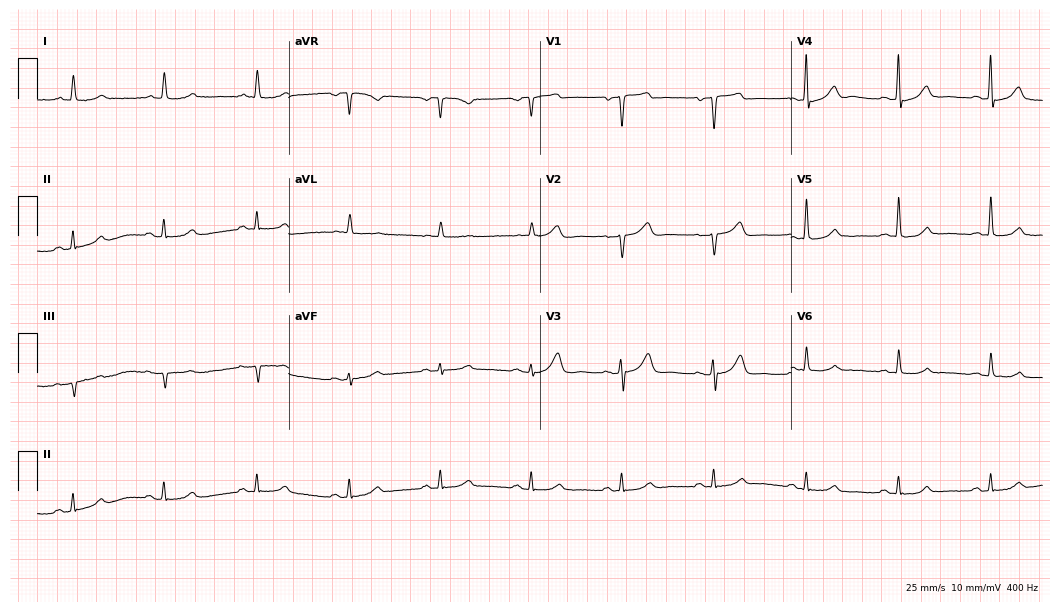
Electrocardiogram (10.2-second recording at 400 Hz), a man, 65 years old. Overall reading on record: normal ECG.